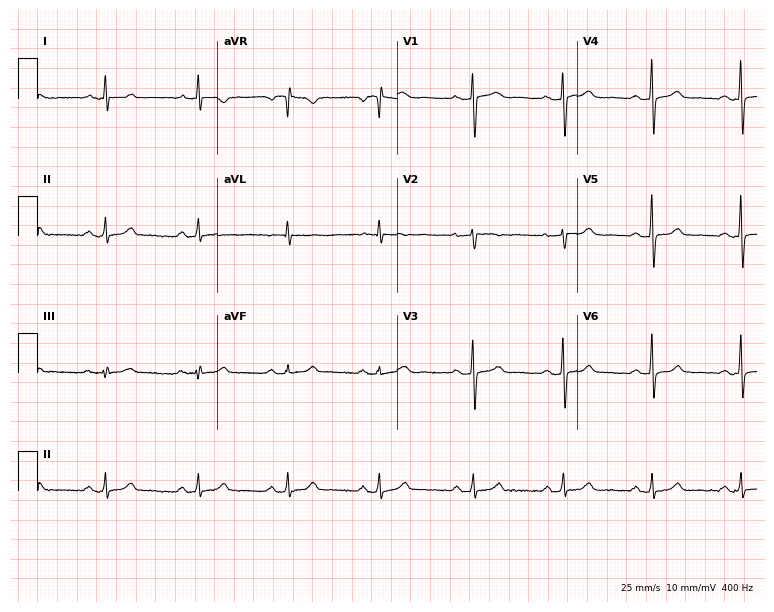
Standard 12-lead ECG recorded from a 52-year-old female (7.3-second recording at 400 Hz). Read as a normal ECG.